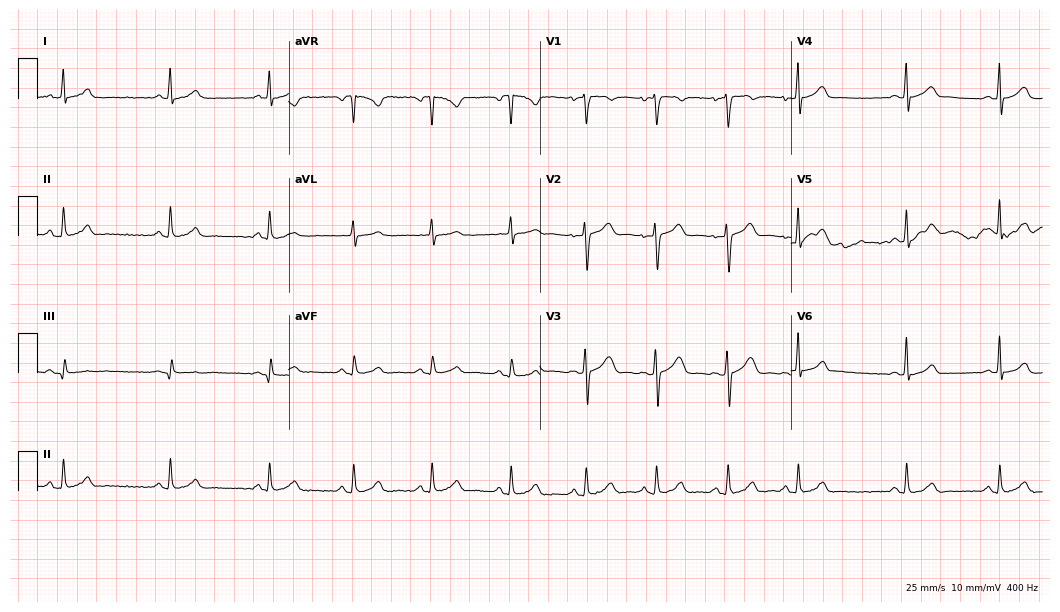
12-lead ECG from a female patient, 21 years old (10.2-second recording at 400 Hz). Recorded interpretation: within normal limits.